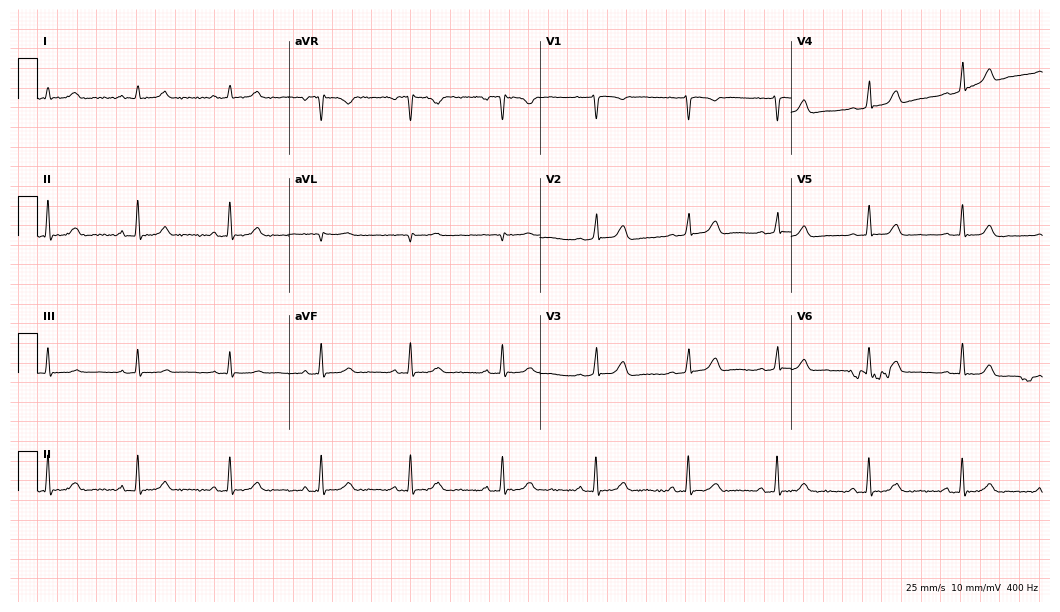
Resting 12-lead electrocardiogram (10.2-second recording at 400 Hz). Patient: a 33-year-old female. Read as a normal ECG.